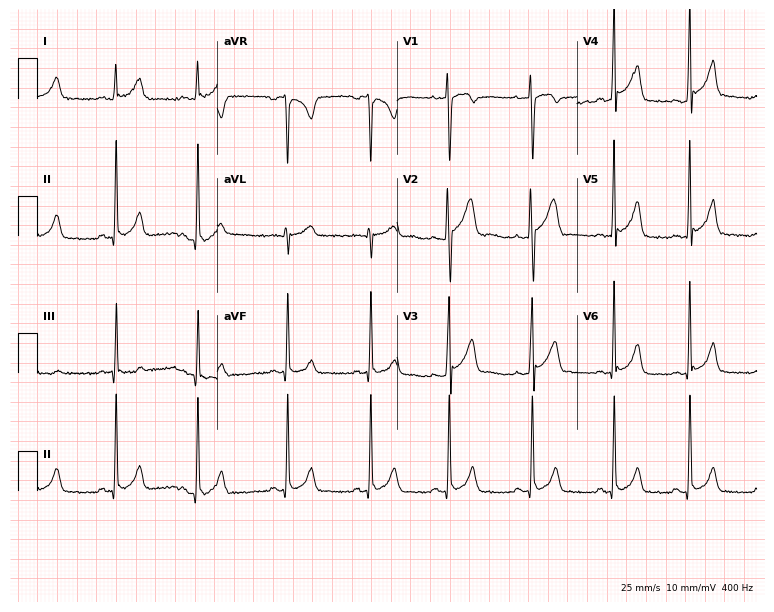
Resting 12-lead electrocardiogram (7.3-second recording at 400 Hz). Patient: a man, 17 years old. None of these six findings is recorded: first-degree AV block, right bundle branch block, left bundle branch block, sinus bradycardia, atrial fibrillation, sinus tachycardia. Only these six findings were labelled.